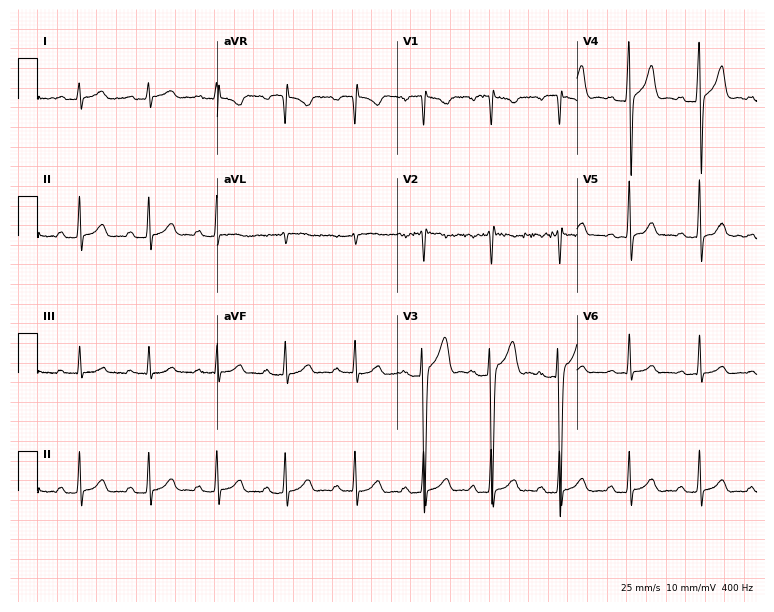
Electrocardiogram, a man, 23 years old. Overall reading on record: normal ECG.